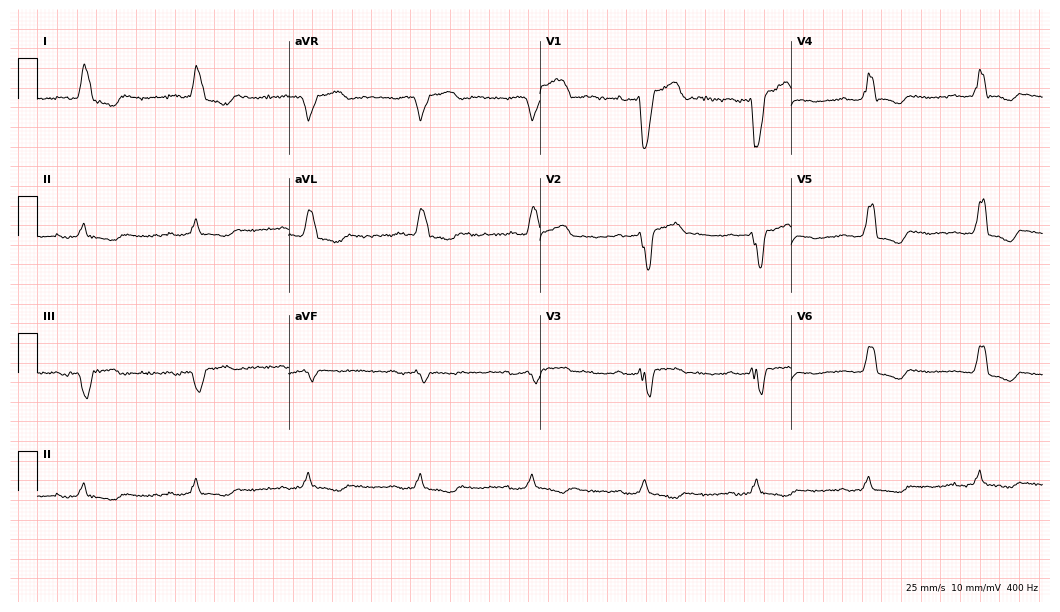
12-lead ECG from a 76-year-old male patient. Screened for six findings — first-degree AV block, right bundle branch block, left bundle branch block, sinus bradycardia, atrial fibrillation, sinus tachycardia — none is recorded. Other findings, if any, are not listed.